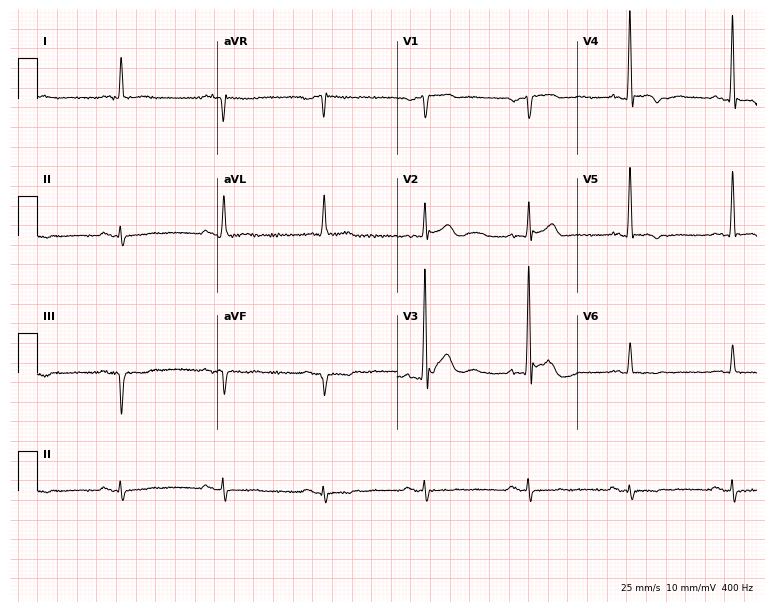
Standard 12-lead ECG recorded from a 63-year-old male patient (7.3-second recording at 400 Hz). None of these six findings is recorded: first-degree AV block, right bundle branch block, left bundle branch block, sinus bradycardia, atrial fibrillation, sinus tachycardia. Findings outside these six are not listed.